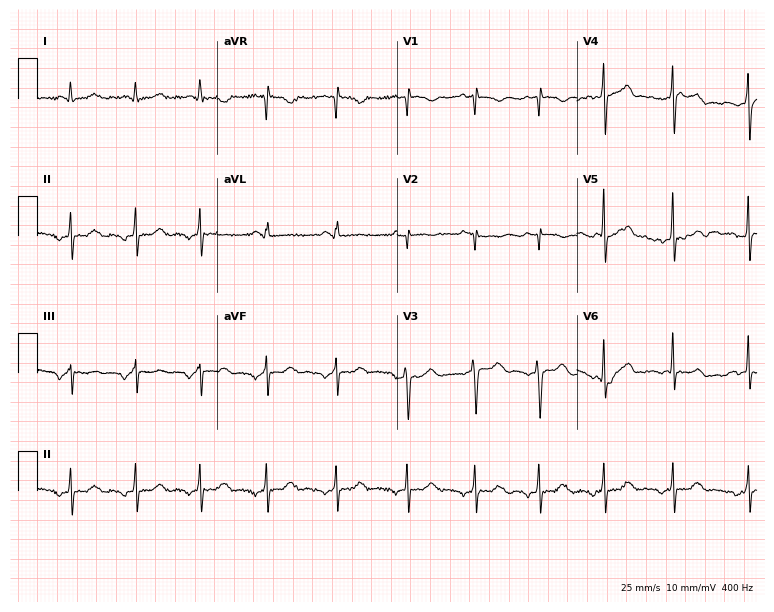
12-lead ECG (7.3-second recording at 400 Hz) from a 52-year-old female patient. Screened for six findings — first-degree AV block, right bundle branch block (RBBB), left bundle branch block (LBBB), sinus bradycardia, atrial fibrillation (AF), sinus tachycardia — none is recorded.